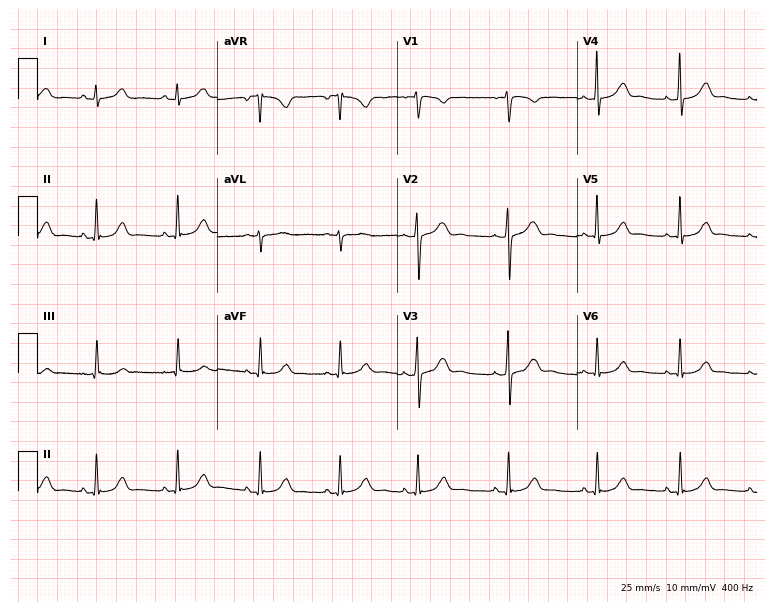
Resting 12-lead electrocardiogram (7.3-second recording at 400 Hz). Patient: a female, 27 years old. Read as a normal ECG.